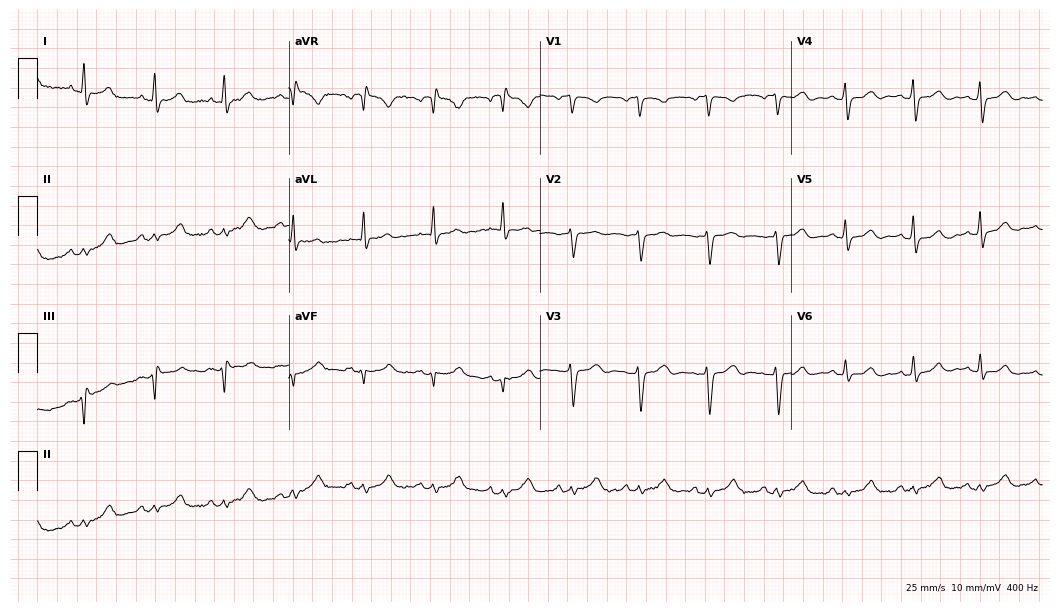
Resting 12-lead electrocardiogram. Patient: a 55-year-old female. Read as a normal ECG.